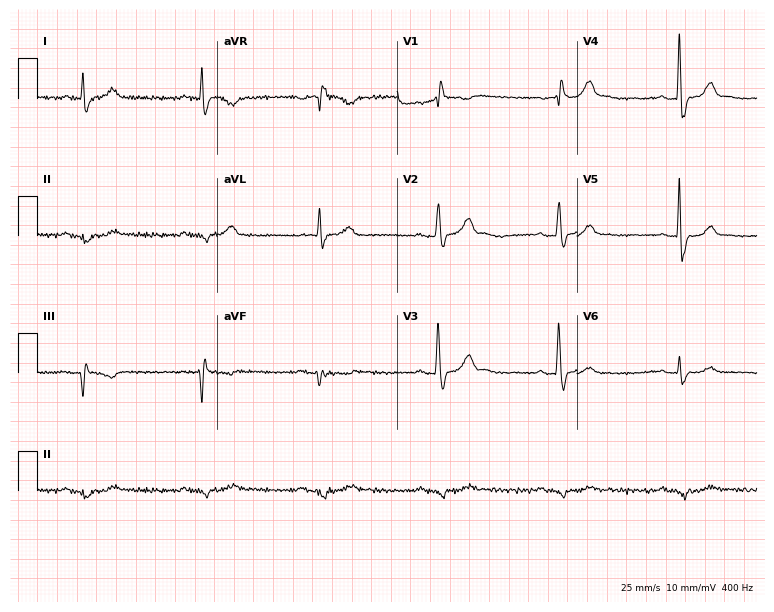
Electrocardiogram, a man, 63 years old. Interpretation includes right bundle branch block, sinus bradycardia (a sinus rate of 50 beats per minute or less).